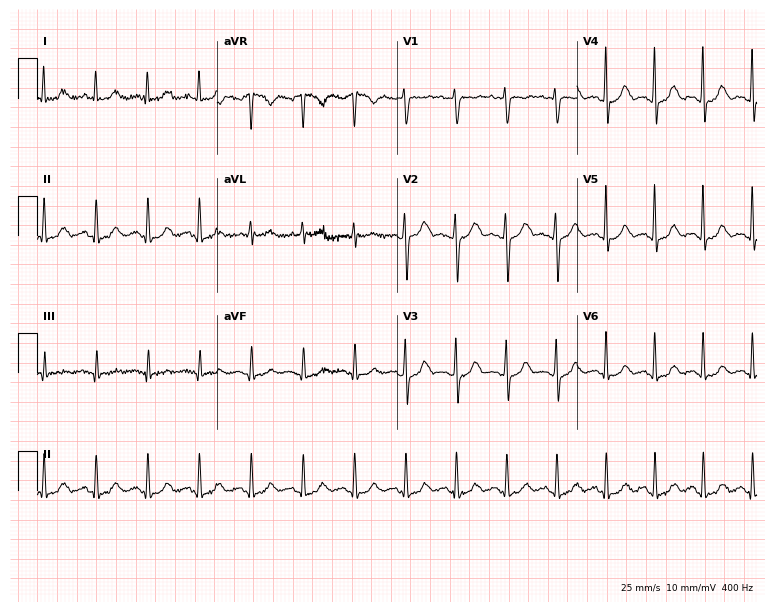
12-lead ECG from a female patient, 26 years old. Shows sinus tachycardia (a sinus rate of 100 beats per minute or more).